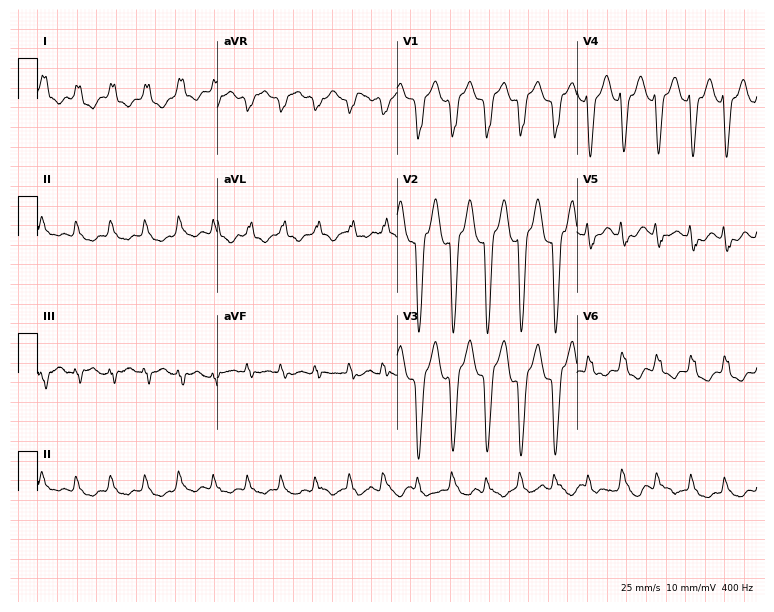
Resting 12-lead electrocardiogram (7.3-second recording at 400 Hz). Patient: a 71-year-old male. None of these six findings is recorded: first-degree AV block, right bundle branch block (RBBB), left bundle branch block (LBBB), sinus bradycardia, atrial fibrillation (AF), sinus tachycardia.